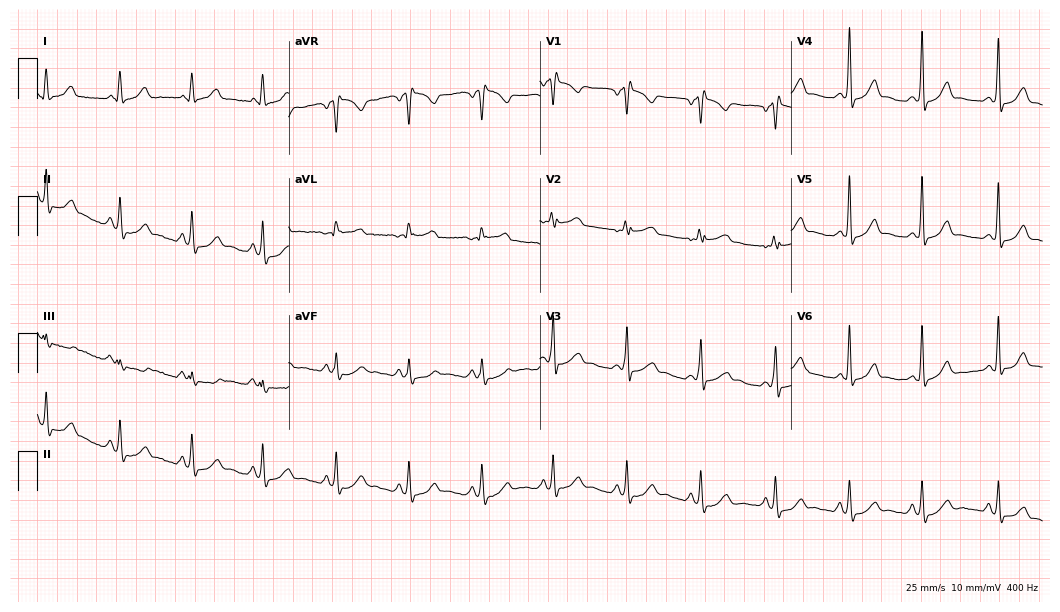
12-lead ECG from a 32-year-old female. Screened for six findings — first-degree AV block, right bundle branch block, left bundle branch block, sinus bradycardia, atrial fibrillation, sinus tachycardia — none is recorded.